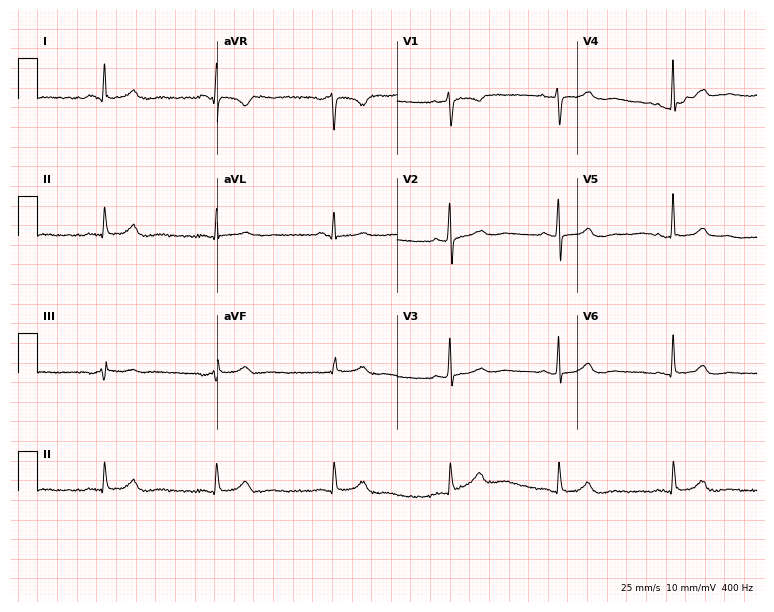
Electrocardiogram (7.3-second recording at 400 Hz), a female patient, 48 years old. Of the six screened findings (first-degree AV block, right bundle branch block (RBBB), left bundle branch block (LBBB), sinus bradycardia, atrial fibrillation (AF), sinus tachycardia), none is recorded. Findings outside these six are not listed.